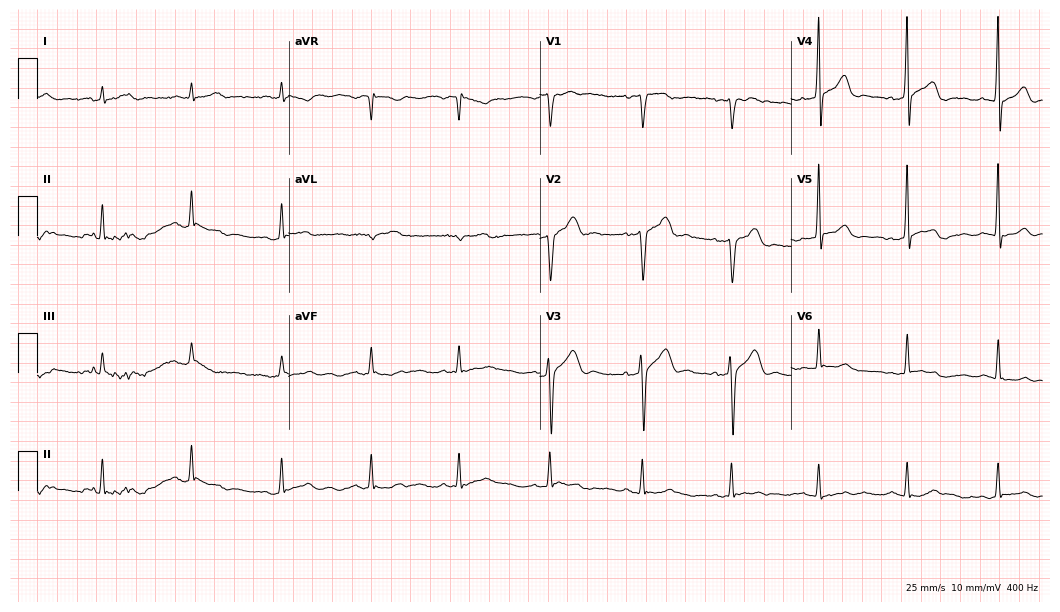
12-lead ECG from a male patient, 25 years old. No first-degree AV block, right bundle branch block, left bundle branch block, sinus bradycardia, atrial fibrillation or sinus tachycardia recorded for this tracing.